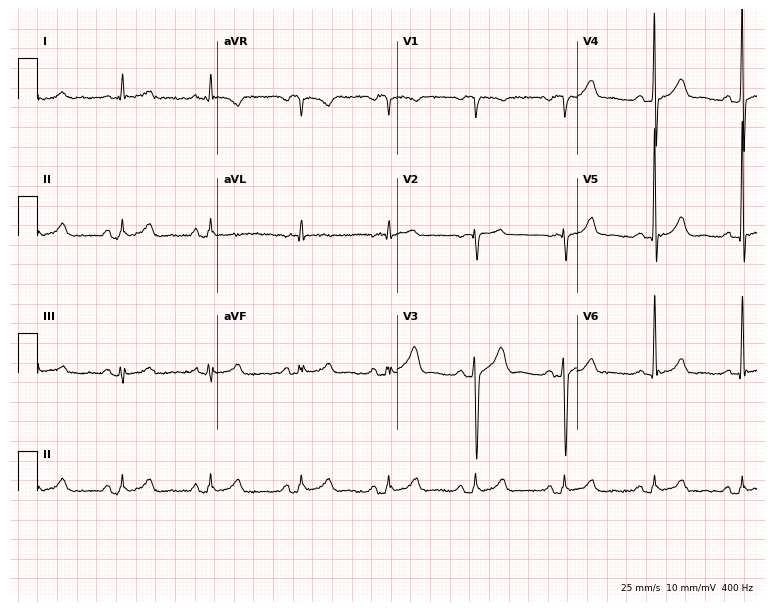
12-lead ECG from a 59-year-old man (7.3-second recording at 400 Hz). Recorded interpretation: within normal limits.